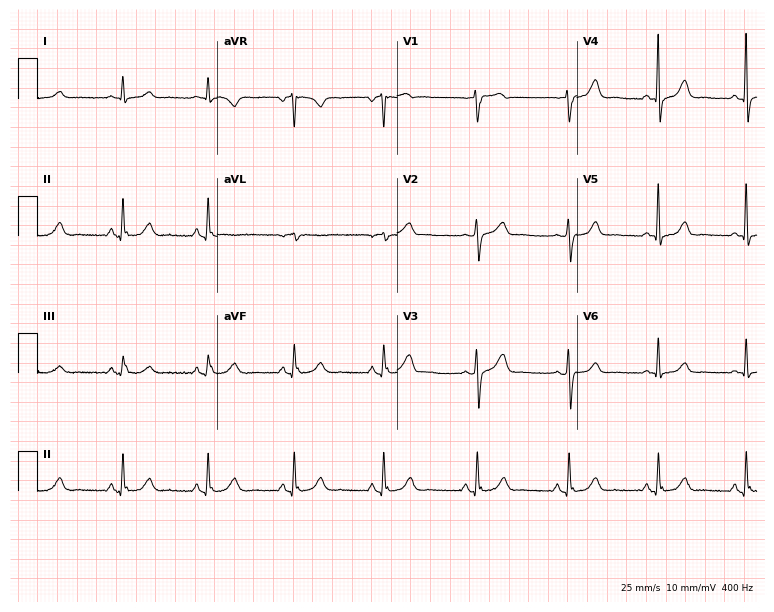
12-lead ECG from a 62-year-old woman (7.3-second recording at 400 Hz). Recorded interpretation: within normal limits.